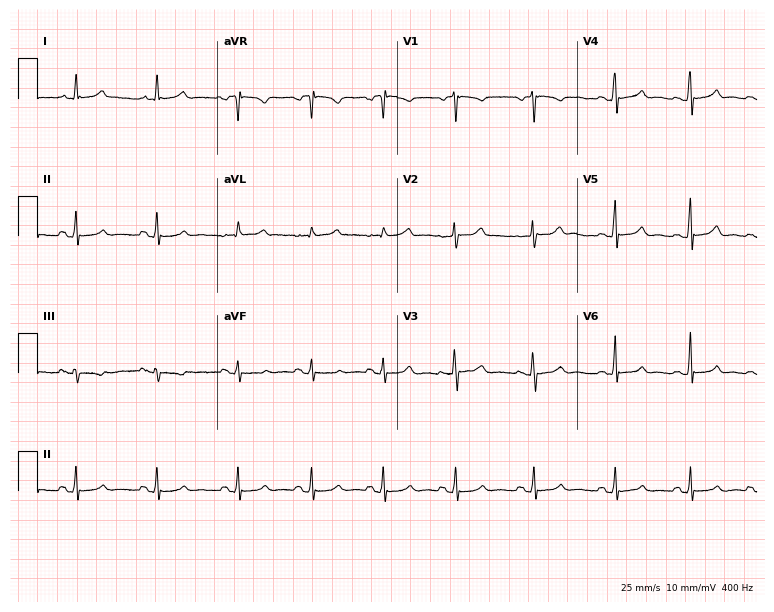
12-lead ECG from a female, 36 years old (7.3-second recording at 400 Hz). Recorded interpretation: within normal limits.